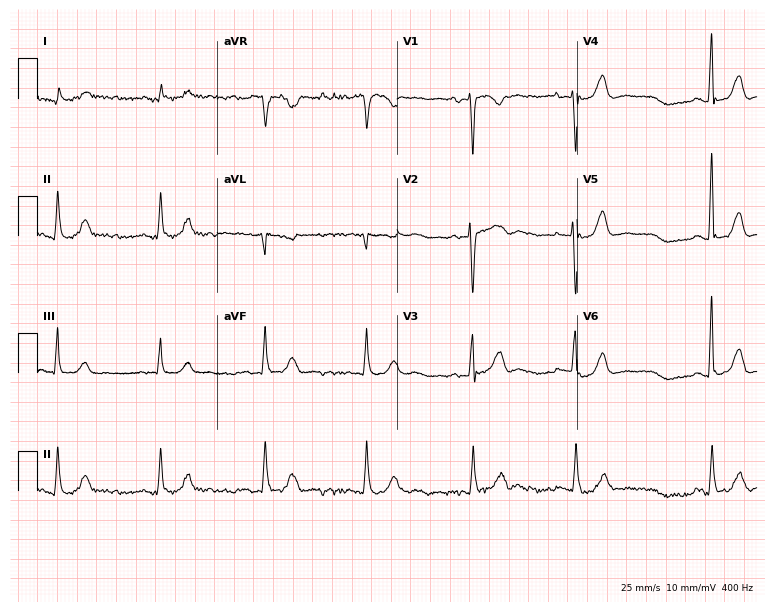
Resting 12-lead electrocardiogram. Patient: a 65-year-old female. None of these six findings is recorded: first-degree AV block, right bundle branch block (RBBB), left bundle branch block (LBBB), sinus bradycardia, atrial fibrillation (AF), sinus tachycardia.